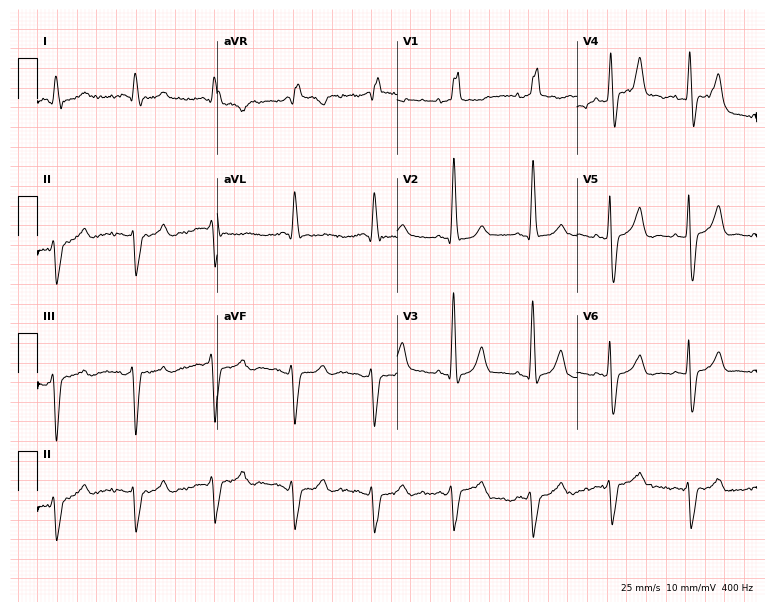
Standard 12-lead ECG recorded from a man, 76 years old (7.3-second recording at 400 Hz). The tracing shows right bundle branch block.